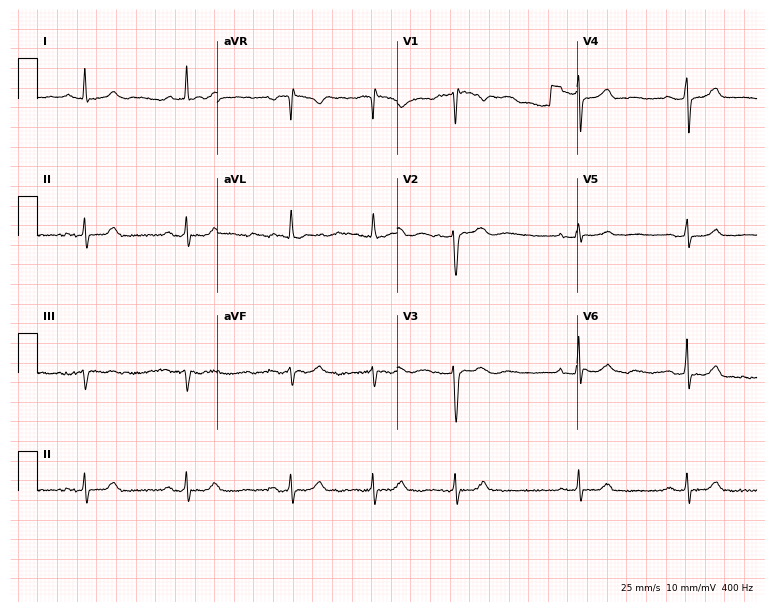
Electrocardiogram (7.3-second recording at 400 Hz), a female, 67 years old. Overall reading on record: normal ECG.